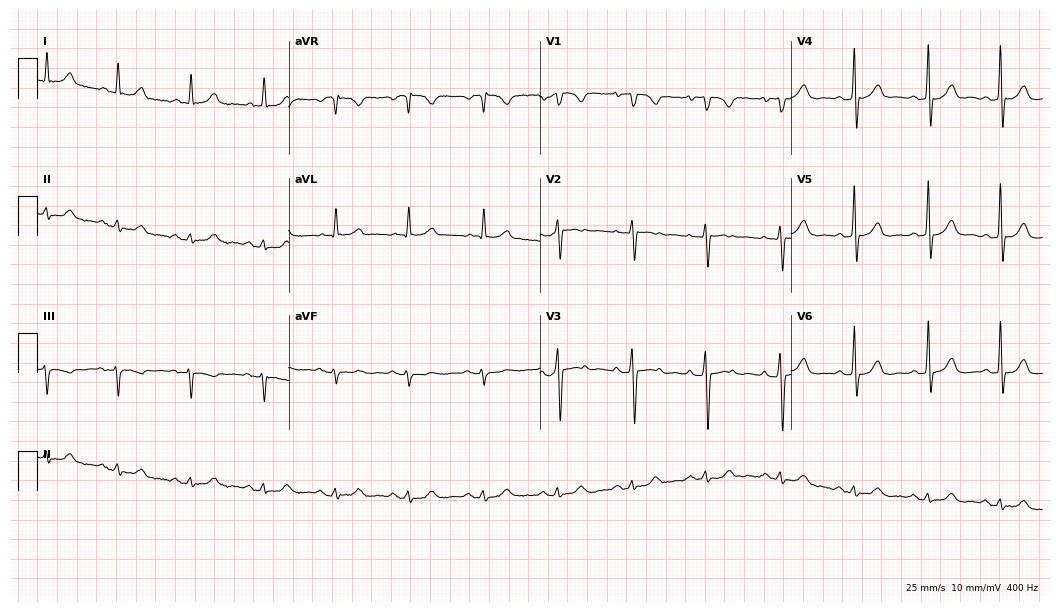
Standard 12-lead ECG recorded from a male patient, 84 years old (10.2-second recording at 400 Hz). None of these six findings is recorded: first-degree AV block, right bundle branch block, left bundle branch block, sinus bradycardia, atrial fibrillation, sinus tachycardia.